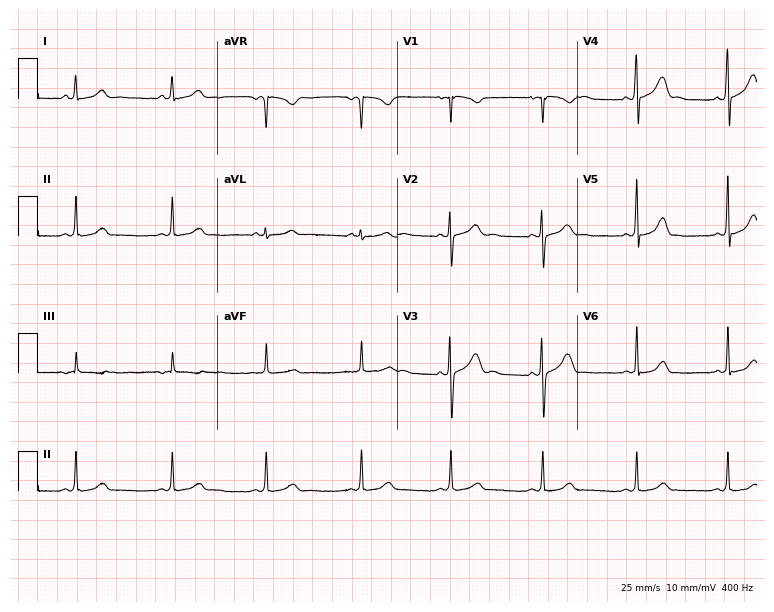
12-lead ECG from a woman, 18 years old. Labelled as a normal ECG.